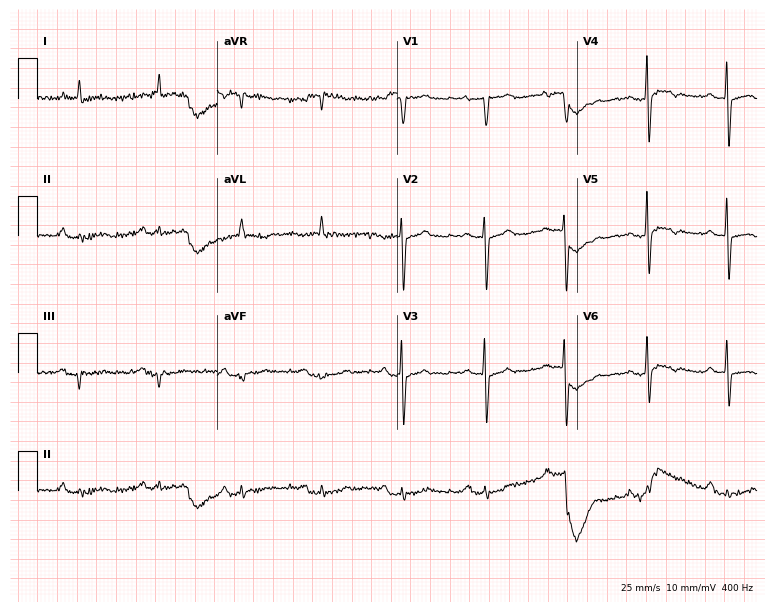
Resting 12-lead electrocardiogram. Patient: a woman, 72 years old. None of these six findings is recorded: first-degree AV block, right bundle branch block, left bundle branch block, sinus bradycardia, atrial fibrillation, sinus tachycardia. Only these six findings were labelled.